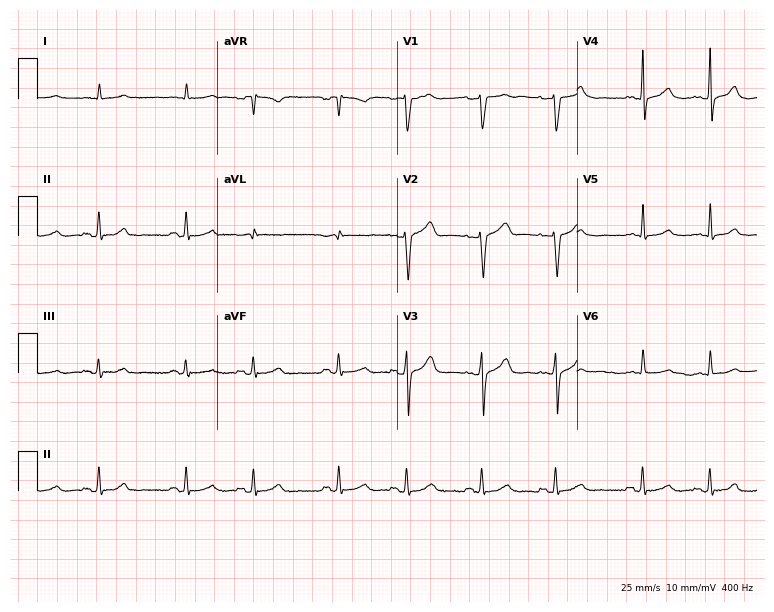
Resting 12-lead electrocardiogram. Patient: a 59-year-old male. None of these six findings is recorded: first-degree AV block, right bundle branch block, left bundle branch block, sinus bradycardia, atrial fibrillation, sinus tachycardia. Other findings, if any, are not listed.